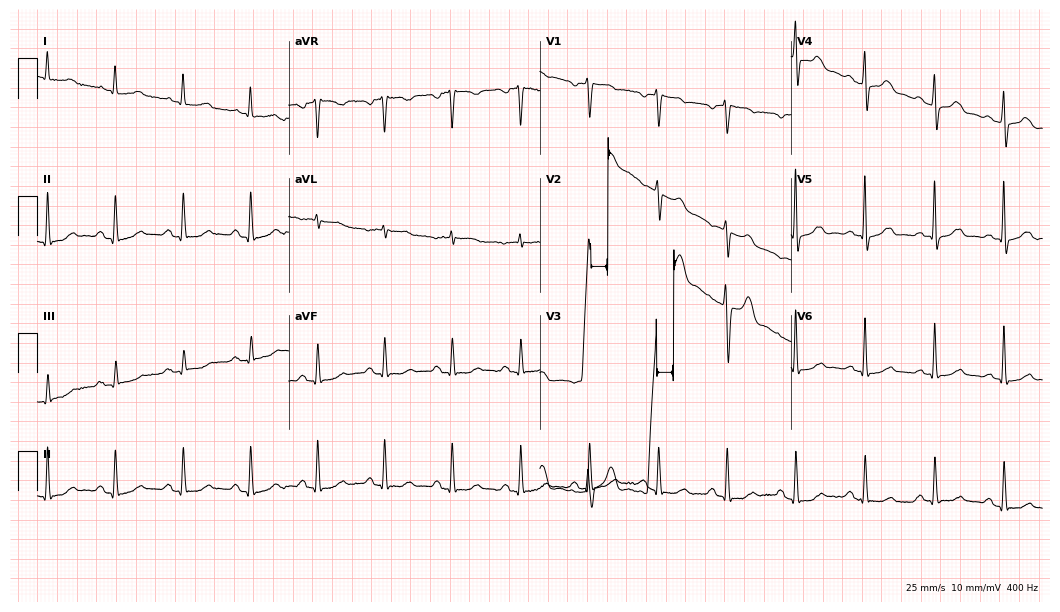
Electrocardiogram (10.2-second recording at 400 Hz), an 84-year-old woman. Overall reading on record: normal ECG.